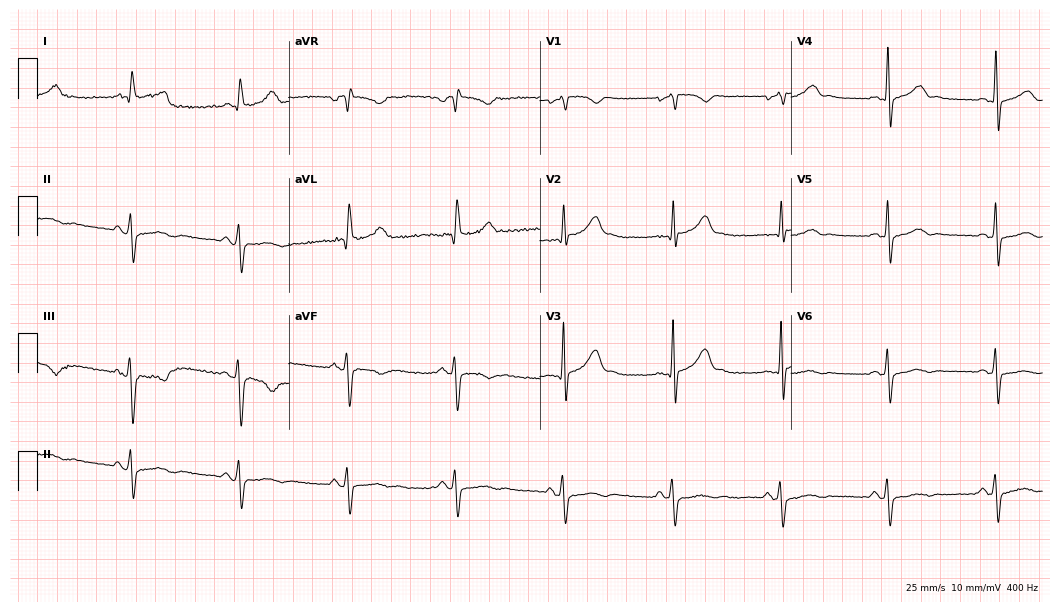
Standard 12-lead ECG recorded from a 54-year-old male patient (10.2-second recording at 400 Hz). None of these six findings is recorded: first-degree AV block, right bundle branch block, left bundle branch block, sinus bradycardia, atrial fibrillation, sinus tachycardia. Only these six findings were labelled.